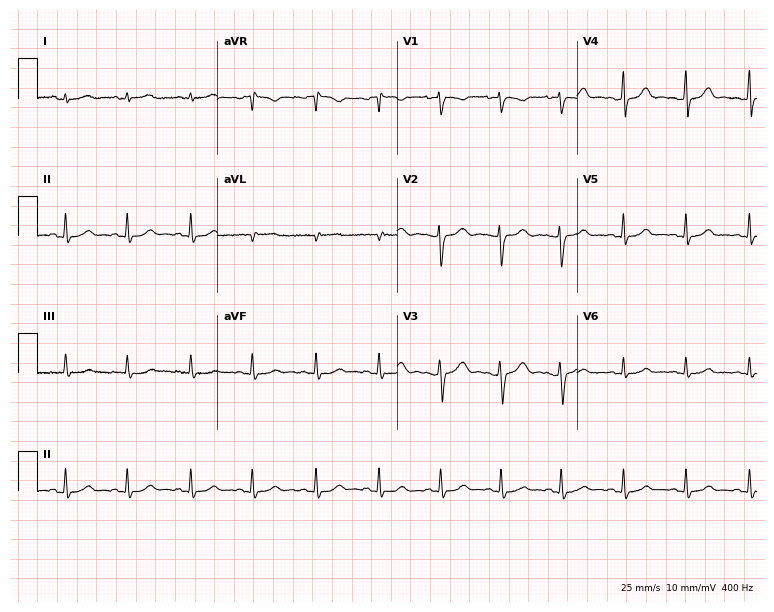
Electrocardiogram (7.3-second recording at 400 Hz), a 23-year-old woman. Of the six screened findings (first-degree AV block, right bundle branch block, left bundle branch block, sinus bradycardia, atrial fibrillation, sinus tachycardia), none is recorded.